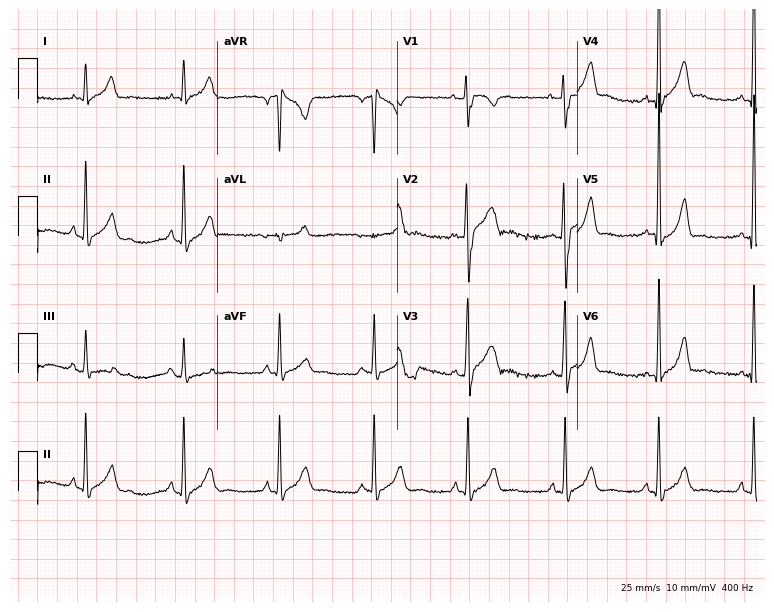
ECG (7.3-second recording at 400 Hz) — a 21-year-old male patient. Labelled as a normal ECG.